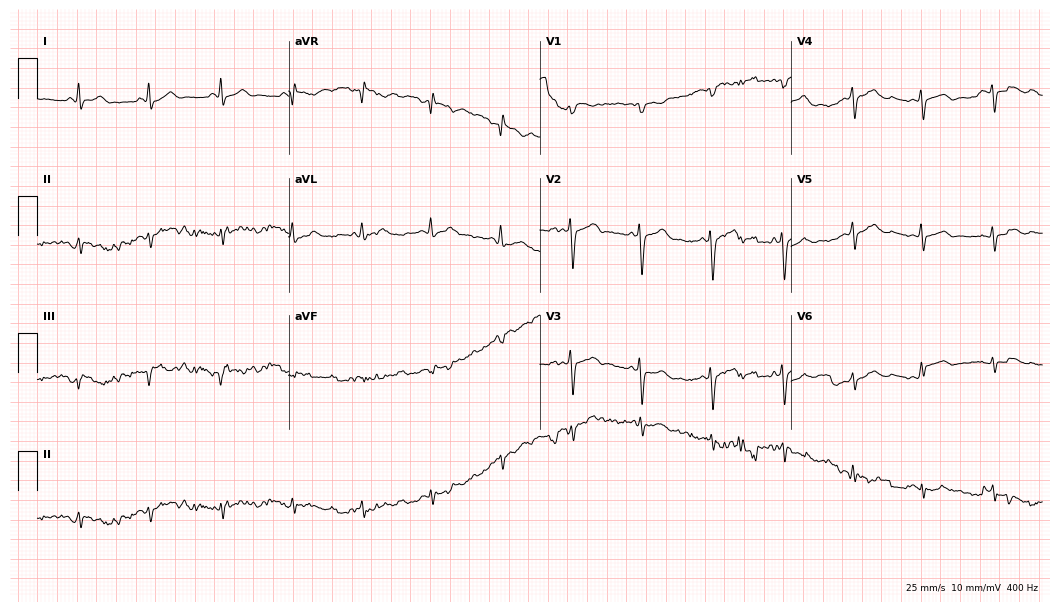
Standard 12-lead ECG recorded from a woman, 20 years old (10.2-second recording at 400 Hz). None of these six findings is recorded: first-degree AV block, right bundle branch block, left bundle branch block, sinus bradycardia, atrial fibrillation, sinus tachycardia.